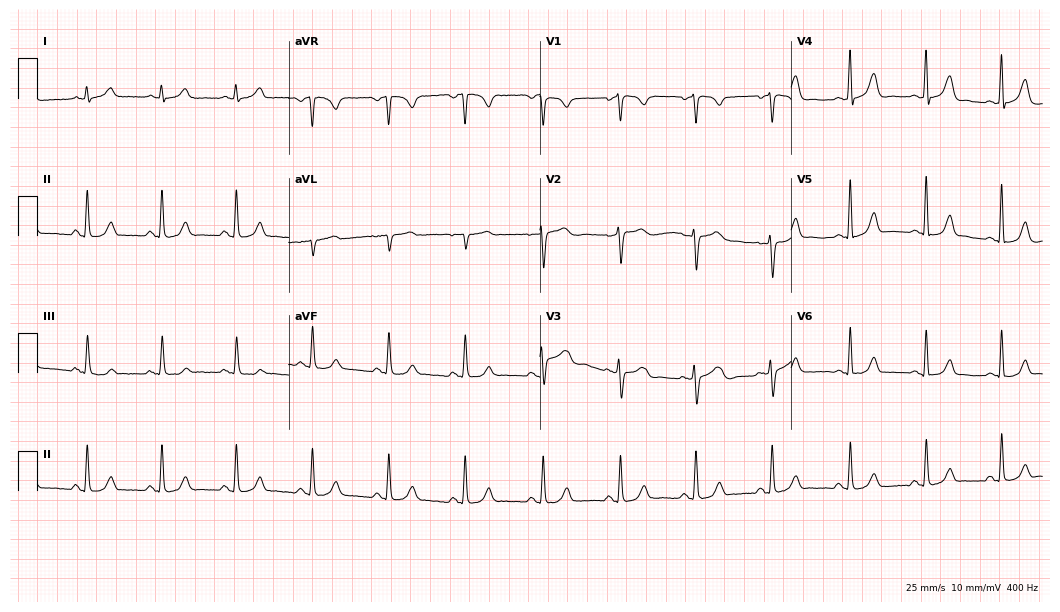
12-lead ECG (10.2-second recording at 400 Hz) from a female, 41 years old. Labelled as a normal ECG.